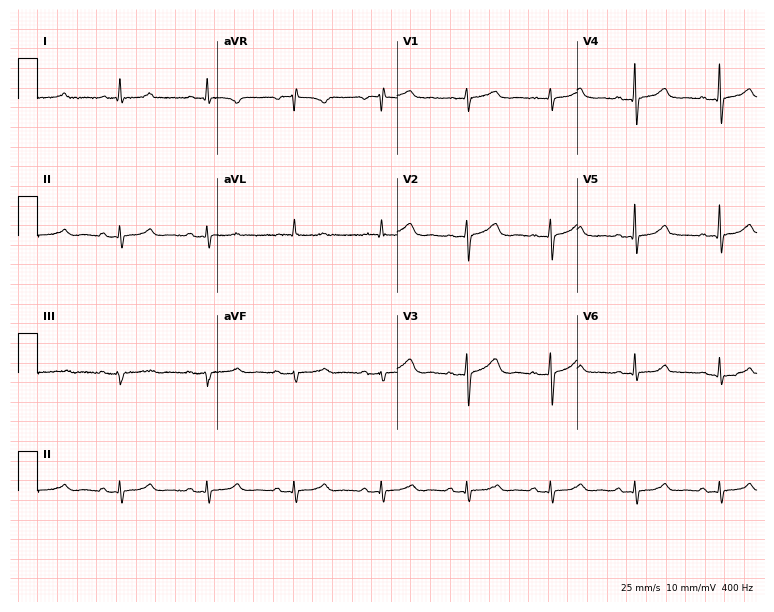
Standard 12-lead ECG recorded from a woman, 53 years old (7.3-second recording at 400 Hz). None of these six findings is recorded: first-degree AV block, right bundle branch block, left bundle branch block, sinus bradycardia, atrial fibrillation, sinus tachycardia.